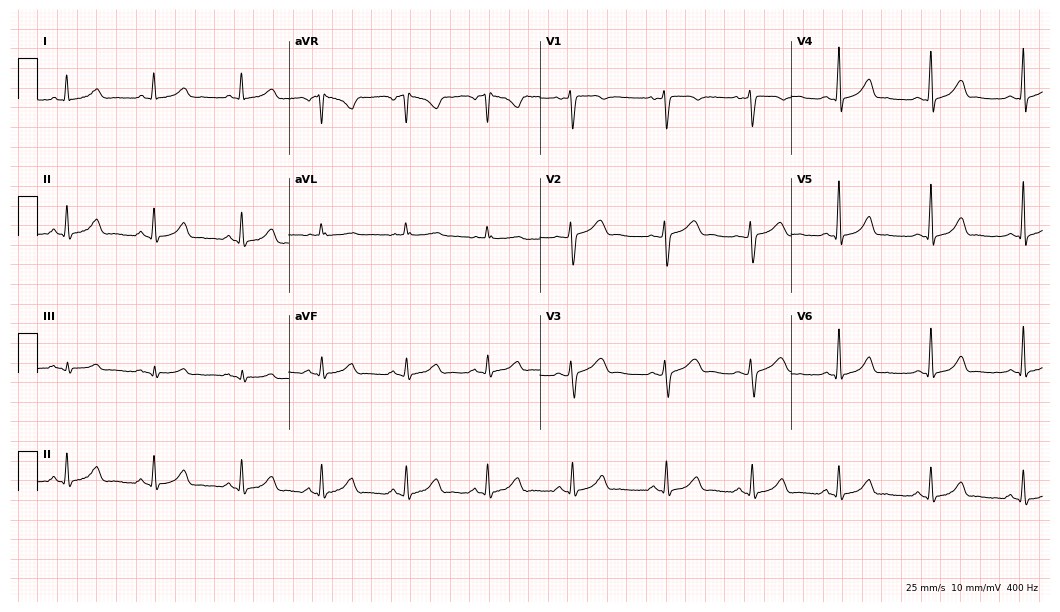
ECG — a female, 39 years old. Labelled as a normal ECG.